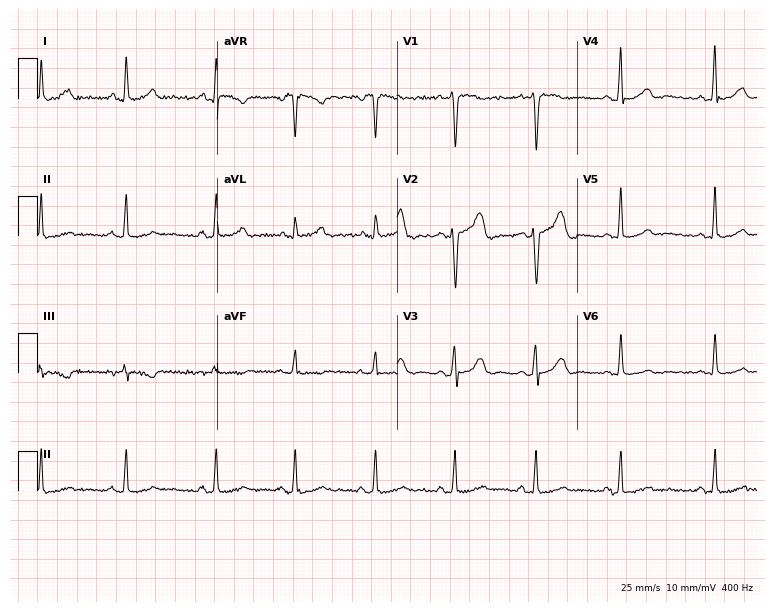
Electrocardiogram, a 24-year-old woman. Overall reading on record: normal ECG.